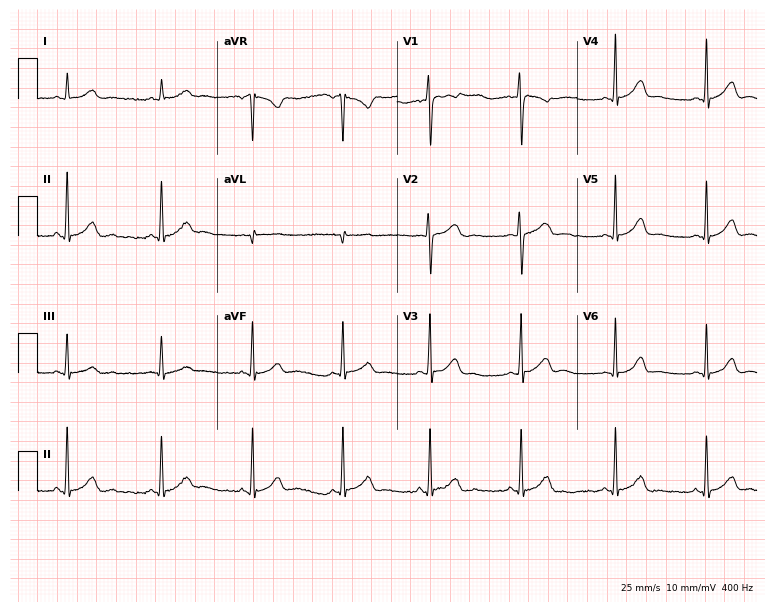
Standard 12-lead ECG recorded from a 22-year-old female. Read as a normal ECG.